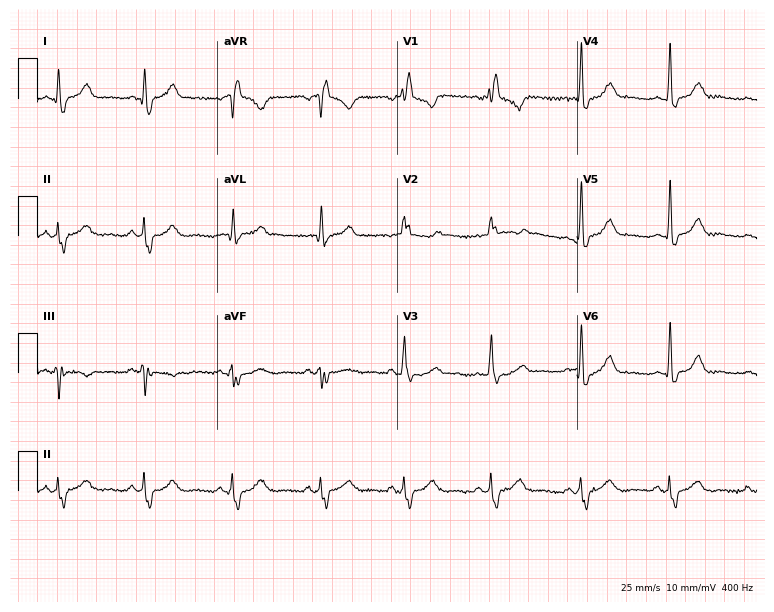
ECG (7.3-second recording at 400 Hz) — a 63-year-old woman. Findings include right bundle branch block.